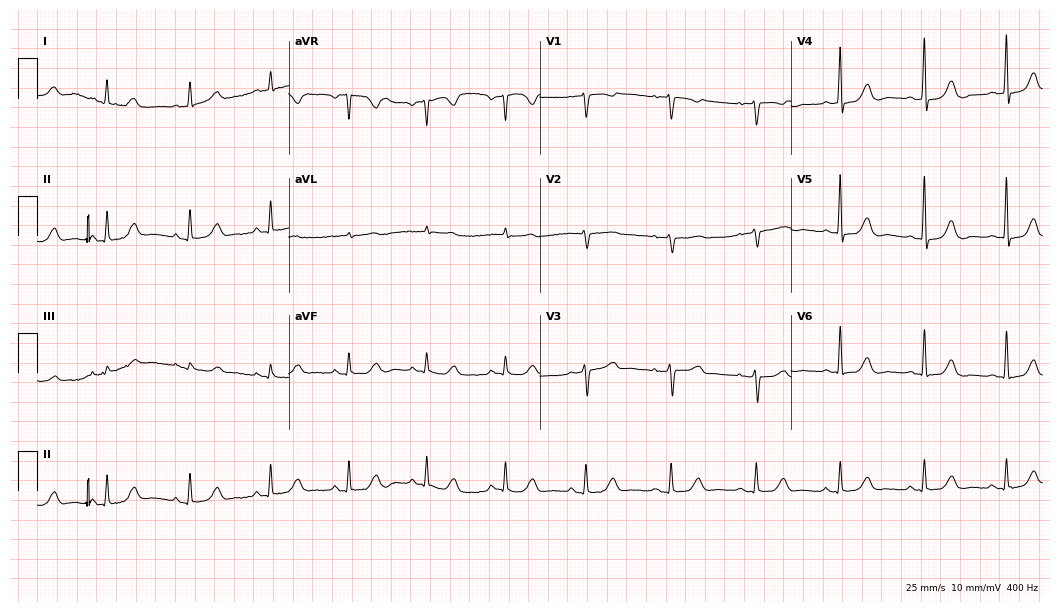
ECG — a woman, 51 years old. Screened for six findings — first-degree AV block, right bundle branch block, left bundle branch block, sinus bradycardia, atrial fibrillation, sinus tachycardia — none is recorded.